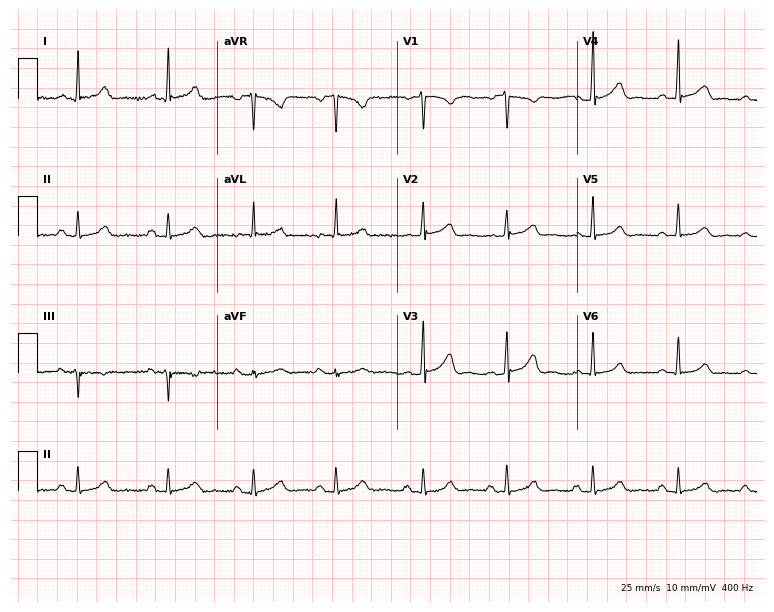
ECG (7.3-second recording at 400 Hz) — a female patient, 30 years old. Screened for six findings — first-degree AV block, right bundle branch block, left bundle branch block, sinus bradycardia, atrial fibrillation, sinus tachycardia — none is recorded.